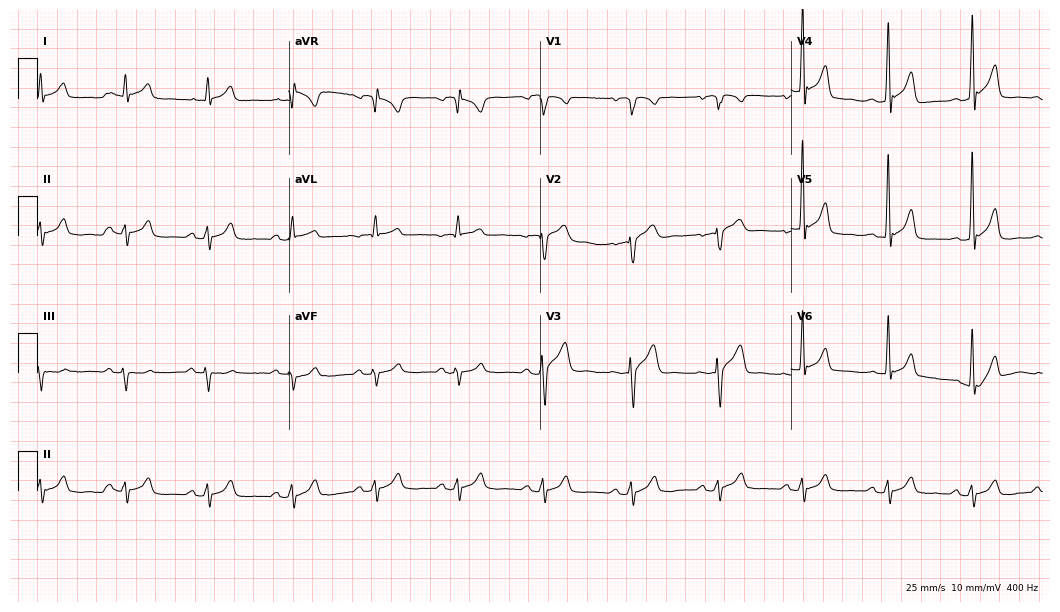
12-lead ECG (10.2-second recording at 400 Hz) from a male patient, 39 years old. Screened for six findings — first-degree AV block, right bundle branch block, left bundle branch block, sinus bradycardia, atrial fibrillation, sinus tachycardia — none is recorded. Other findings, if any, are not listed.